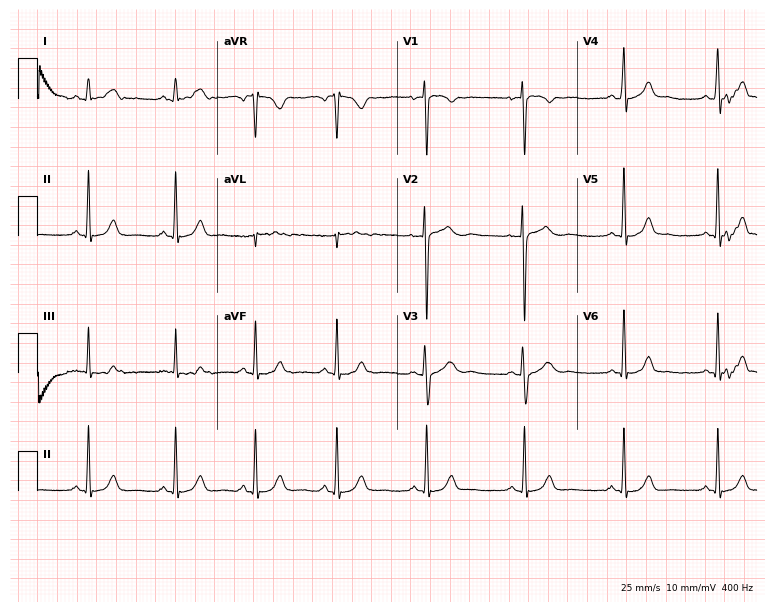
Resting 12-lead electrocardiogram. Patient: a female, 33 years old. Read as a normal ECG.